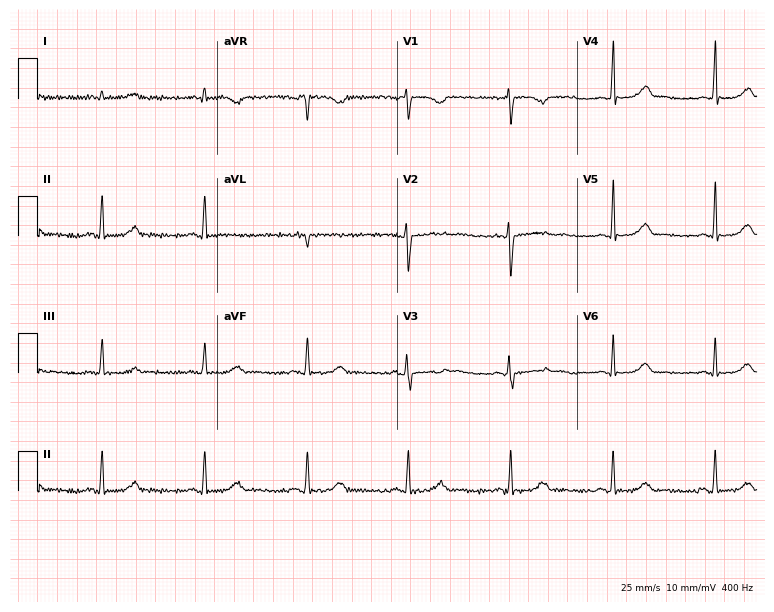
12-lead ECG (7.3-second recording at 400 Hz) from a woman, 27 years old. Labelled as a normal ECG.